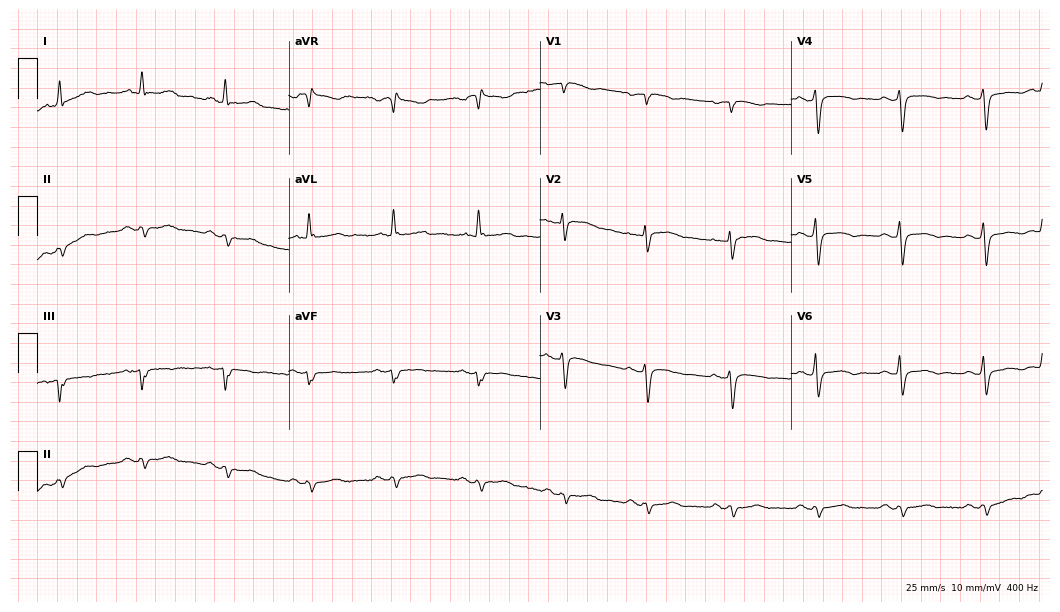
12-lead ECG from a 67-year-old female patient. No first-degree AV block, right bundle branch block, left bundle branch block, sinus bradycardia, atrial fibrillation or sinus tachycardia recorded for this tracing.